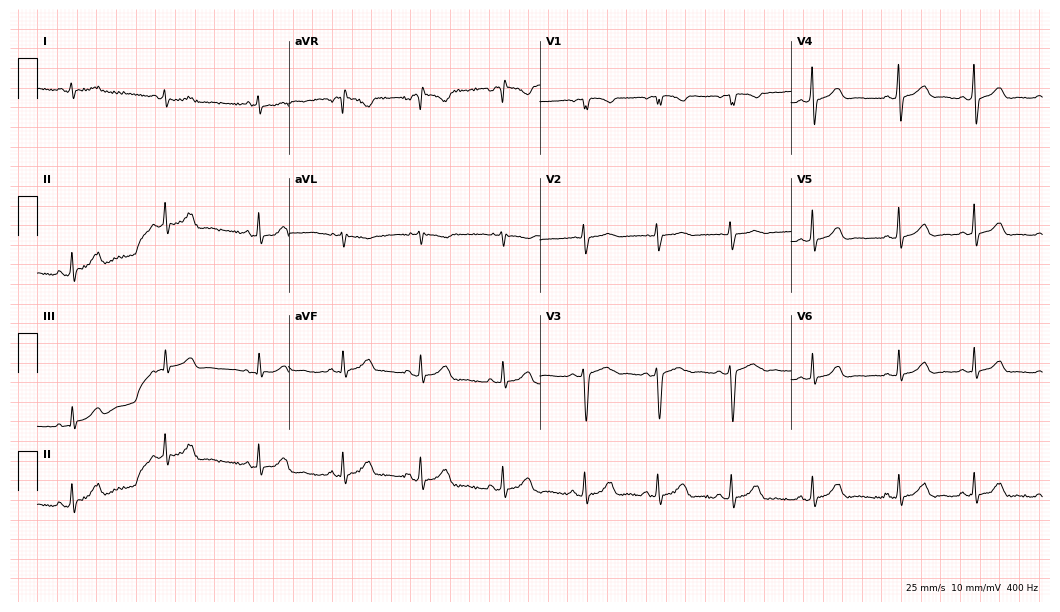
Resting 12-lead electrocardiogram (10.2-second recording at 400 Hz). Patient: a female, 17 years old. Read as a normal ECG.